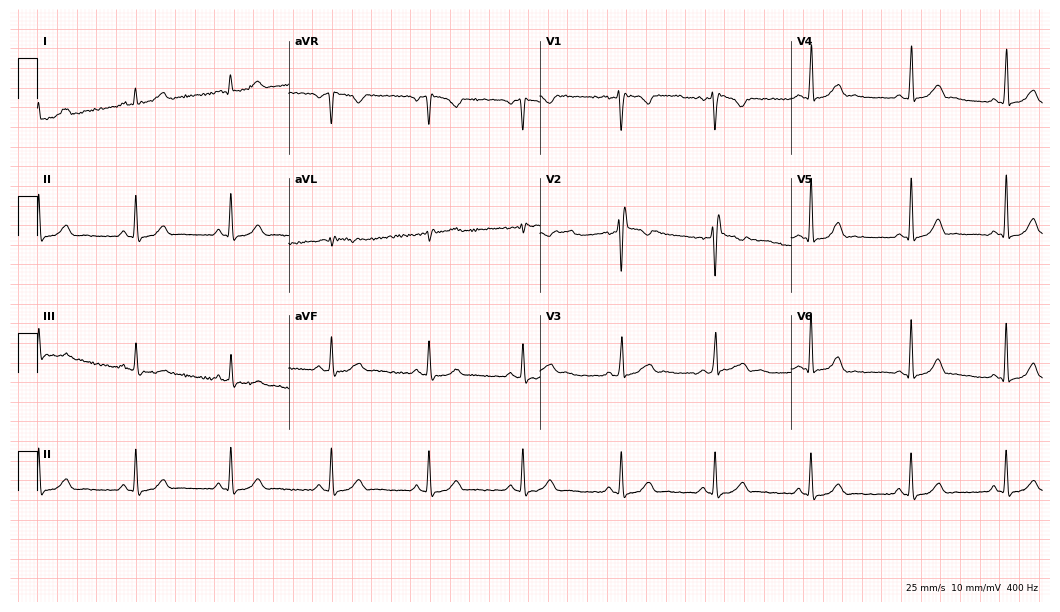
Electrocardiogram, a woman, 34 years old. Of the six screened findings (first-degree AV block, right bundle branch block (RBBB), left bundle branch block (LBBB), sinus bradycardia, atrial fibrillation (AF), sinus tachycardia), none is recorded.